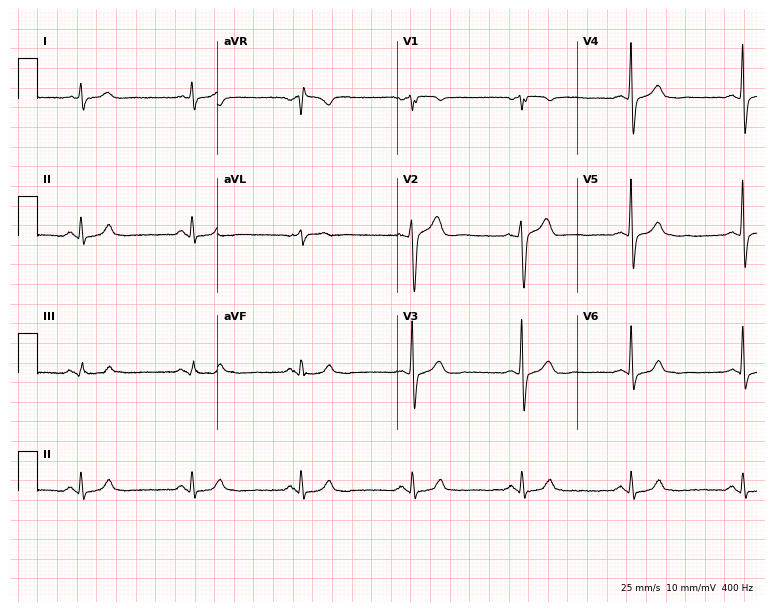
12-lead ECG from a 55-year-old male patient. Screened for six findings — first-degree AV block, right bundle branch block, left bundle branch block, sinus bradycardia, atrial fibrillation, sinus tachycardia — none is recorded.